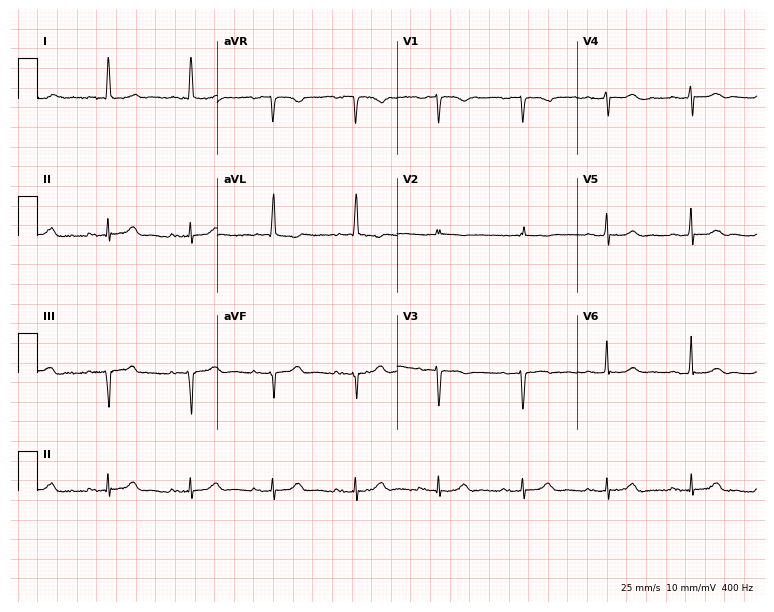
12-lead ECG (7.3-second recording at 400 Hz) from a woman, 68 years old. Screened for six findings — first-degree AV block, right bundle branch block, left bundle branch block, sinus bradycardia, atrial fibrillation, sinus tachycardia — none is recorded. Only these six findings were labelled.